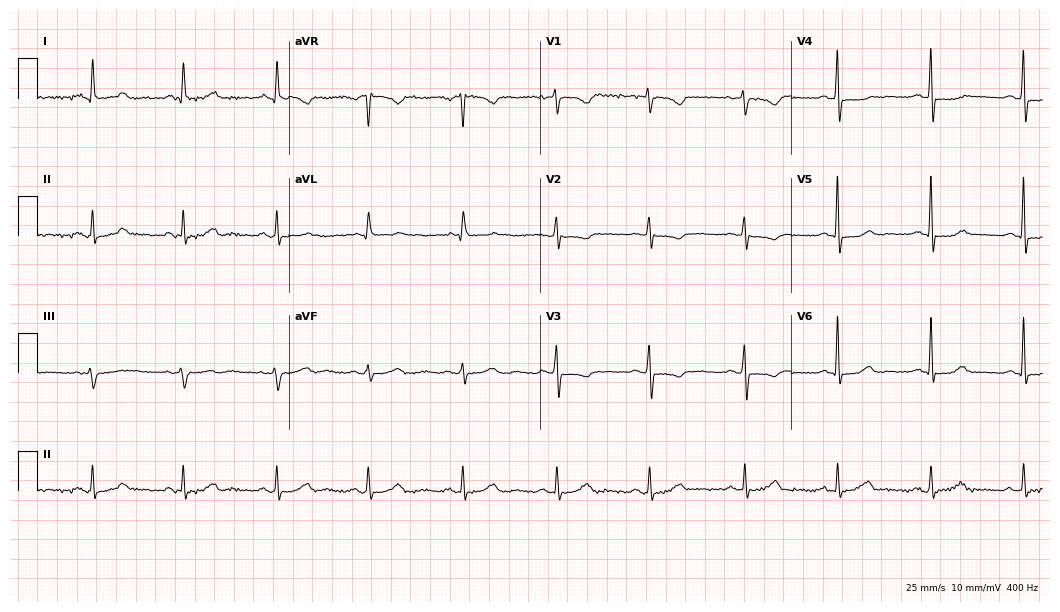
Standard 12-lead ECG recorded from a 55-year-old female patient (10.2-second recording at 400 Hz). None of these six findings is recorded: first-degree AV block, right bundle branch block, left bundle branch block, sinus bradycardia, atrial fibrillation, sinus tachycardia. Findings outside these six are not listed.